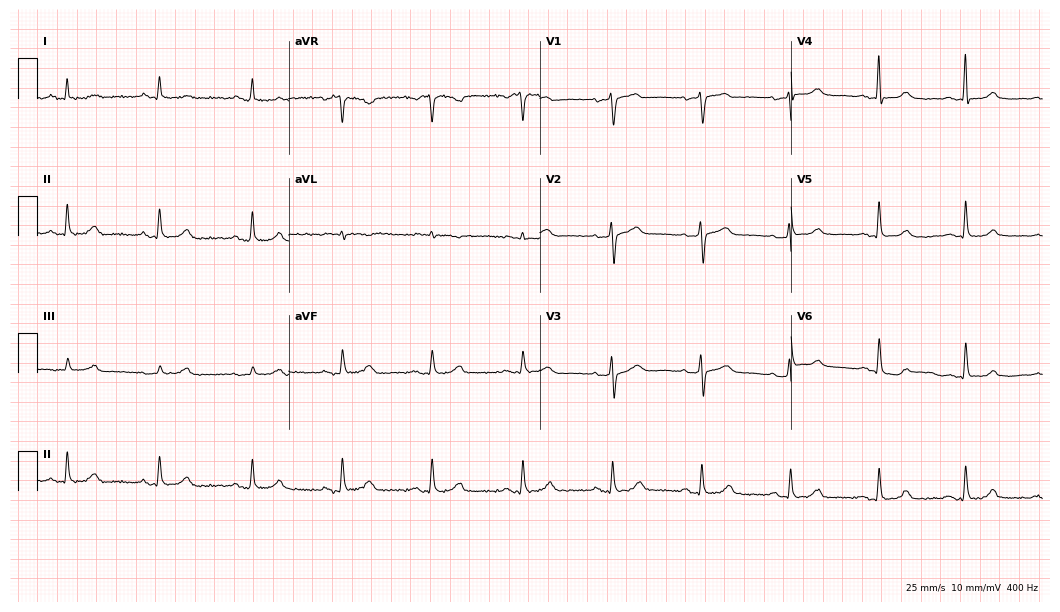
Resting 12-lead electrocardiogram. Patient: a 75-year-old woman. None of these six findings is recorded: first-degree AV block, right bundle branch block, left bundle branch block, sinus bradycardia, atrial fibrillation, sinus tachycardia.